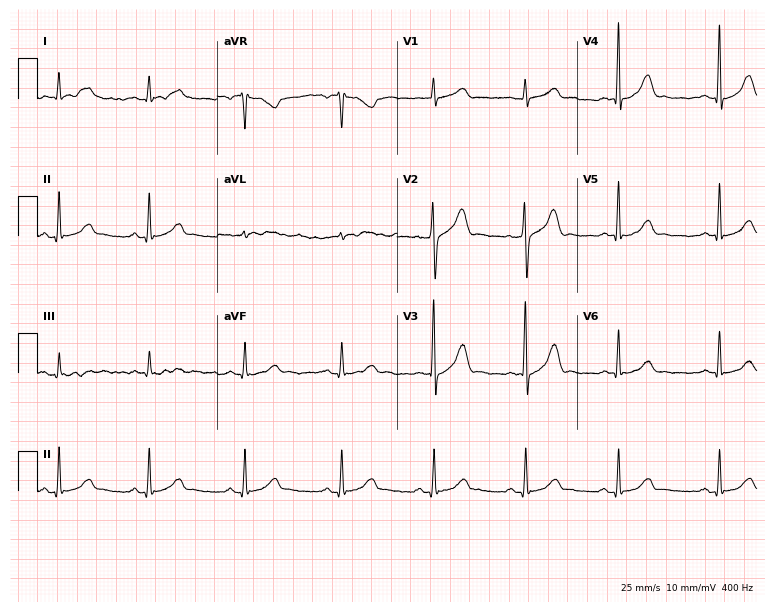
Electrocardiogram, a 33-year-old male patient. Of the six screened findings (first-degree AV block, right bundle branch block, left bundle branch block, sinus bradycardia, atrial fibrillation, sinus tachycardia), none is recorded. Findings outside these six are not listed.